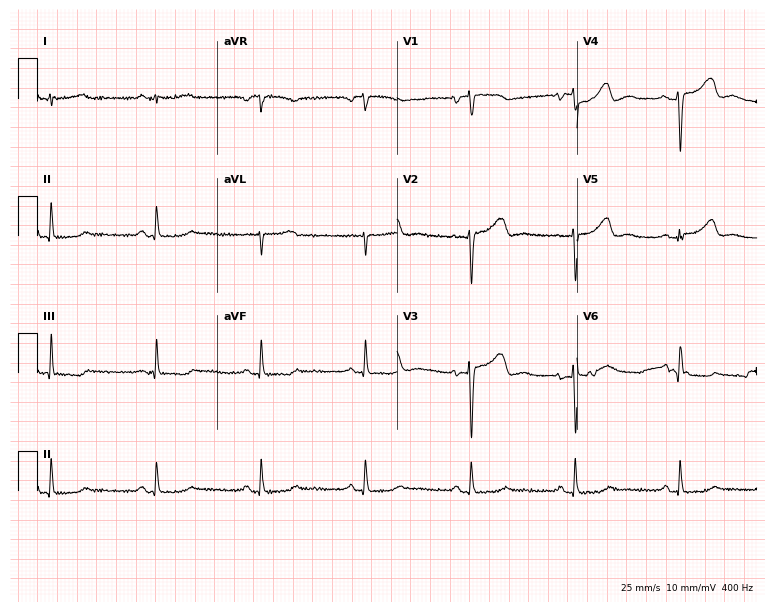
ECG — a 58-year-old female patient. Screened for six findings — first-degree AV block, right bundle branch block, left bundle branch block, sinus bradycardia, atrial fibrillation, sinus tachycardia — none is recorded.